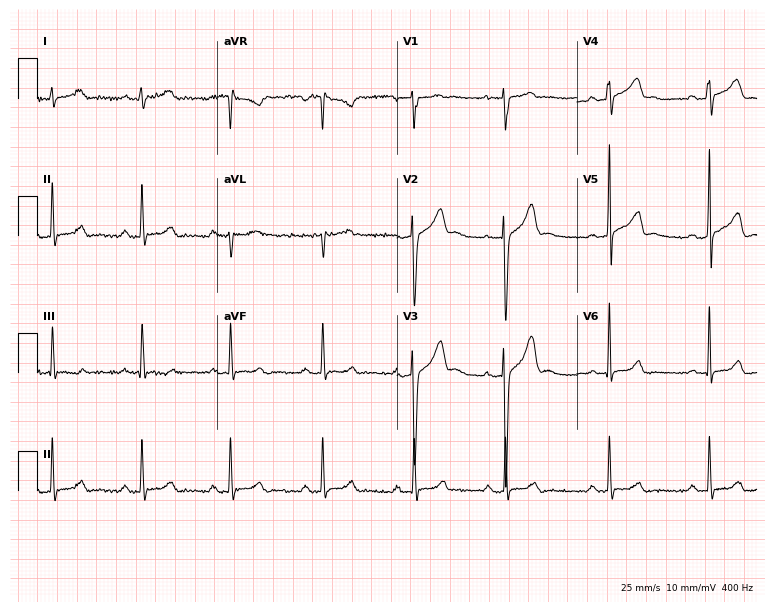
ECG — a 21-year-old male. Labelled as a normal ECG.